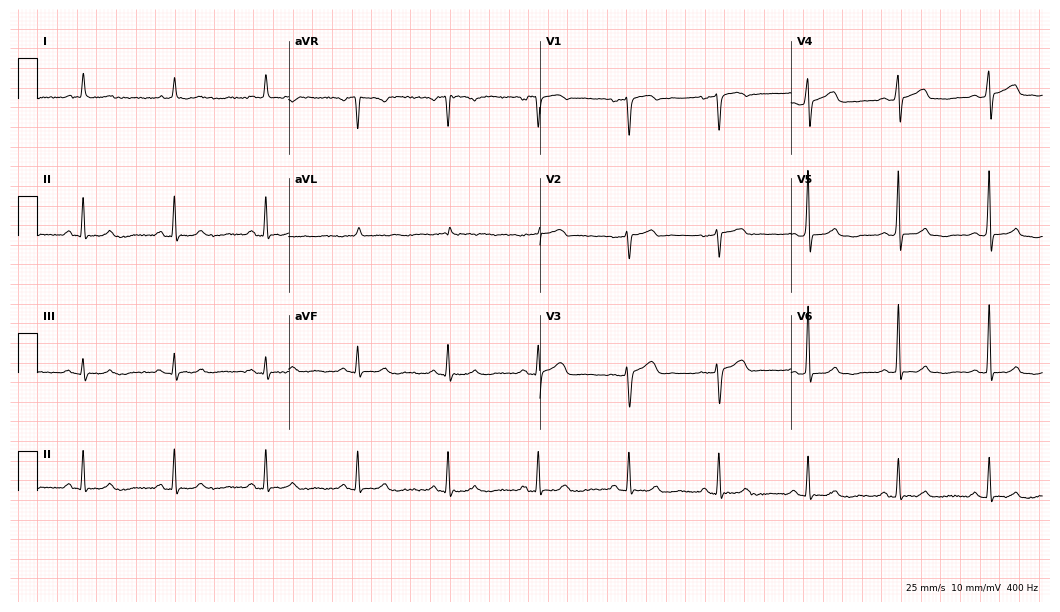
Standard 12-lead ECG recorded from a 64-year-old female. Read as a normal ECG.